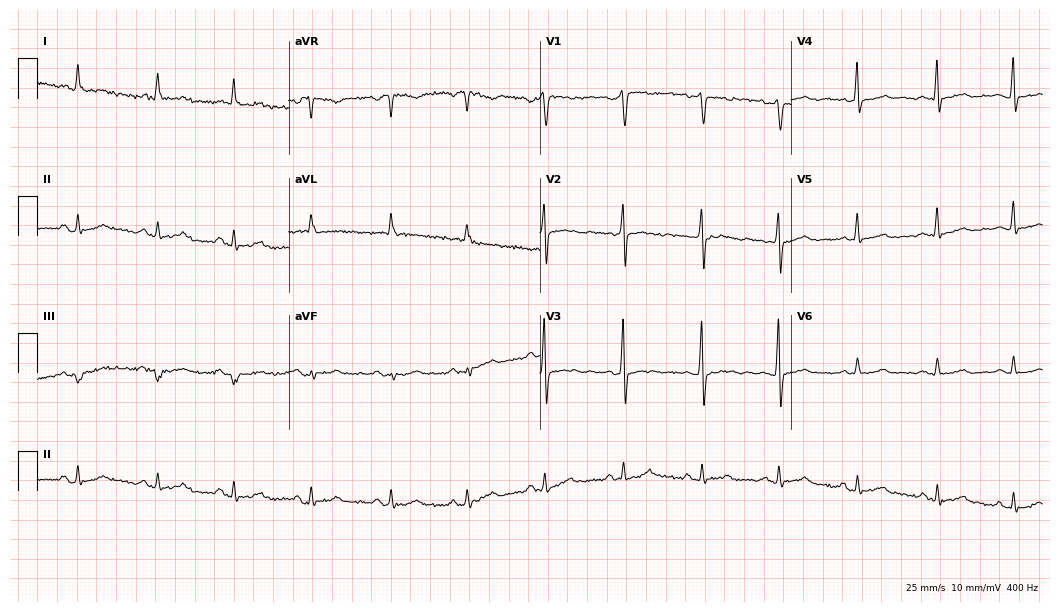
Resting 12-lead electrocardiogram (10.2-second recording at 400 Hz). Patient: a male, 43 years old. None of these six findings is recorded: first-degree AV block, right bundle branch block, left bundle branch block, sinus bradycardia, atrial fibrillation, sinus tachycardia. Findings outside these six are not listed.